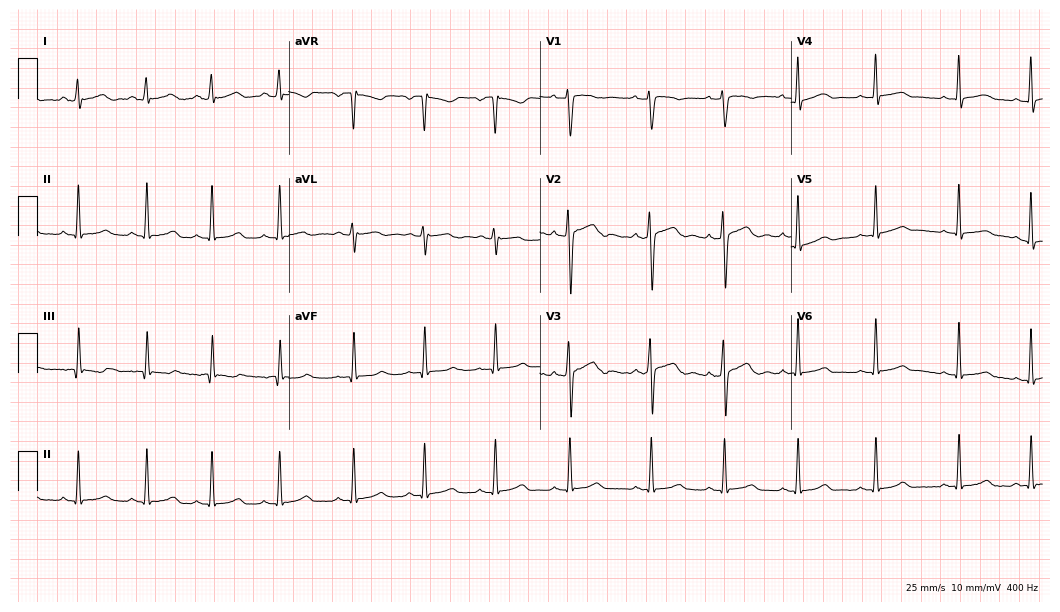
ECG (10.2-second recording at 400 Hz) — a 20-year-old woman. Labelled as a normal ECG.